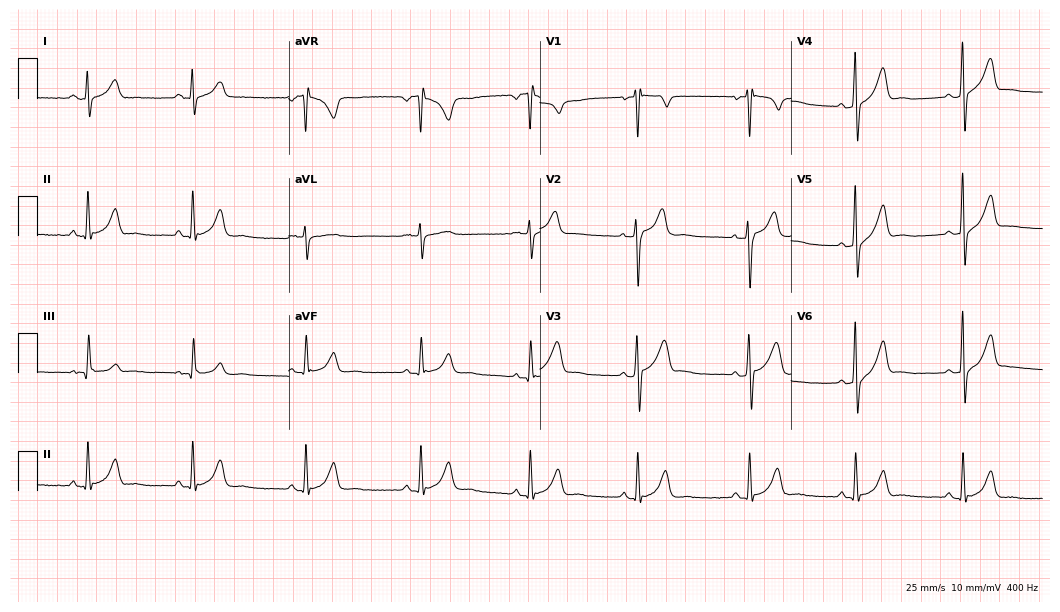
Electrocardiogram (10.2-second recording at 400 Hz), a man, 31 years old. Overall reading on record: normal ECG.